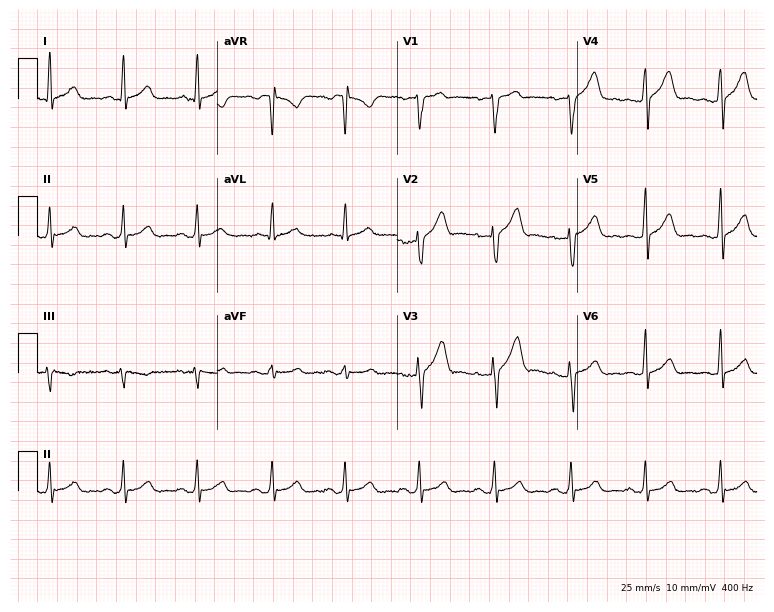
Resting 12-lead electrocardiogram. Patient: a 35-year-old man. Read as a normal ECG.